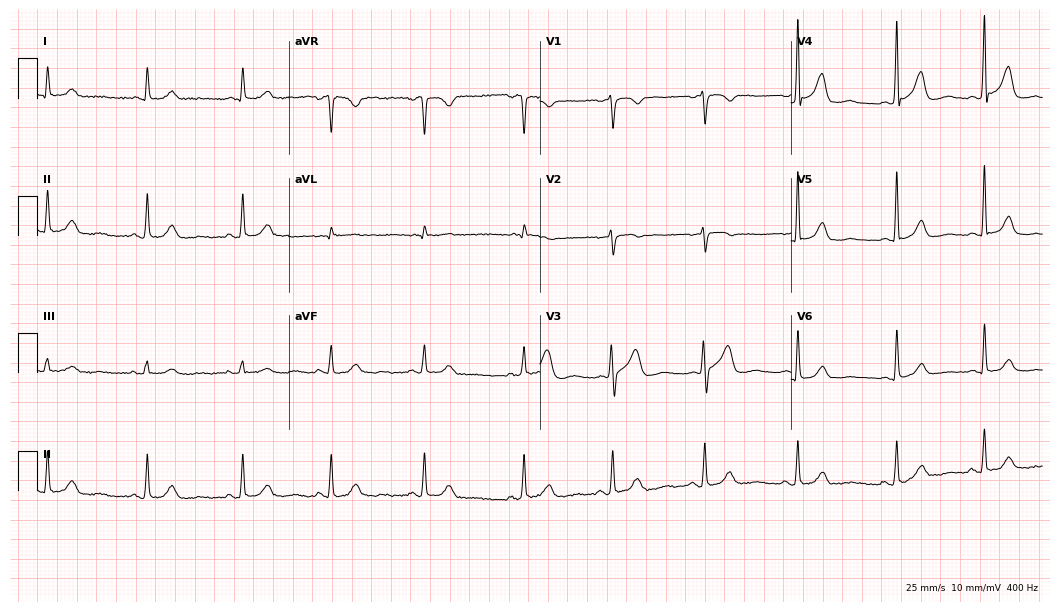
Standard 12-lead ECG recorded from a female patient, 76 years old. Read as a normal ECG.